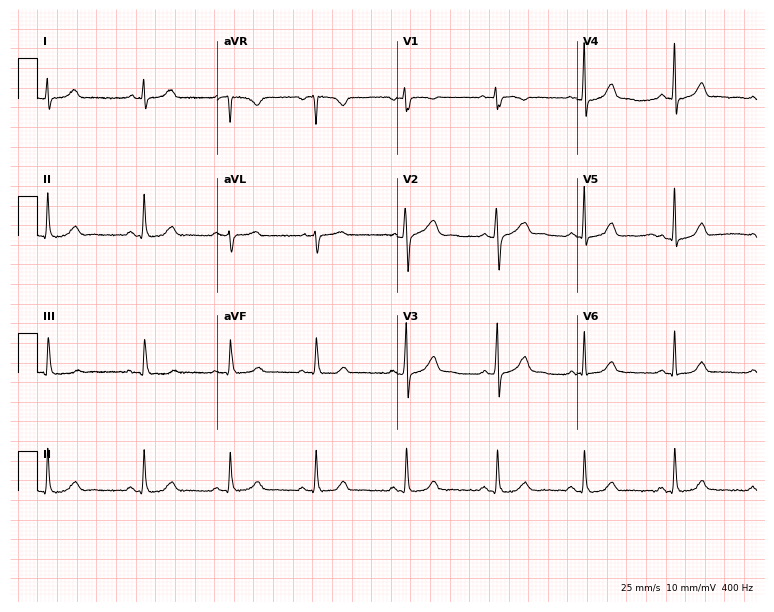
Standard 12-lead ECG recorded from a 31-year-old man (7.3-second recording at 400 Hz). None of these six findings is recorded: first-degree AV block, right bundle branch block, left bundle branch block, sinus bradycardia, atrial fibrillation, sinus tachycardia.